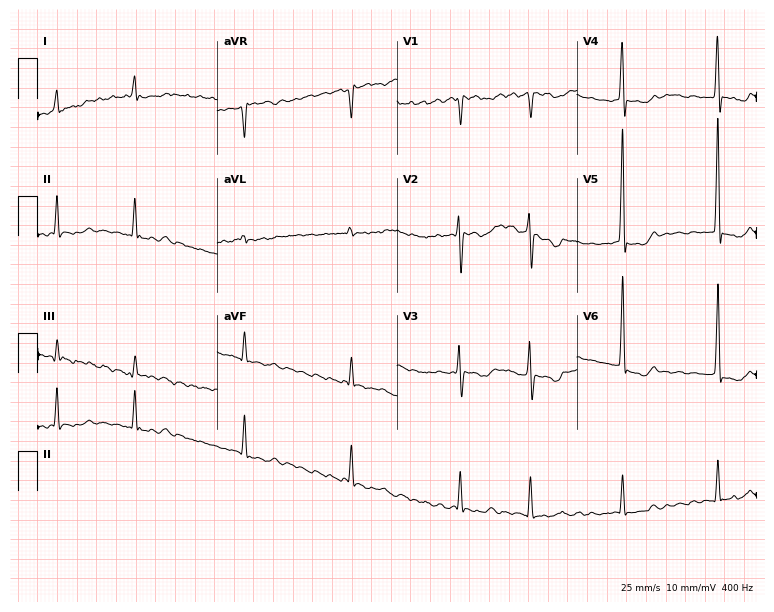
12-lead ECG from a female, 35 years old. Findings include atrial fibrillation.